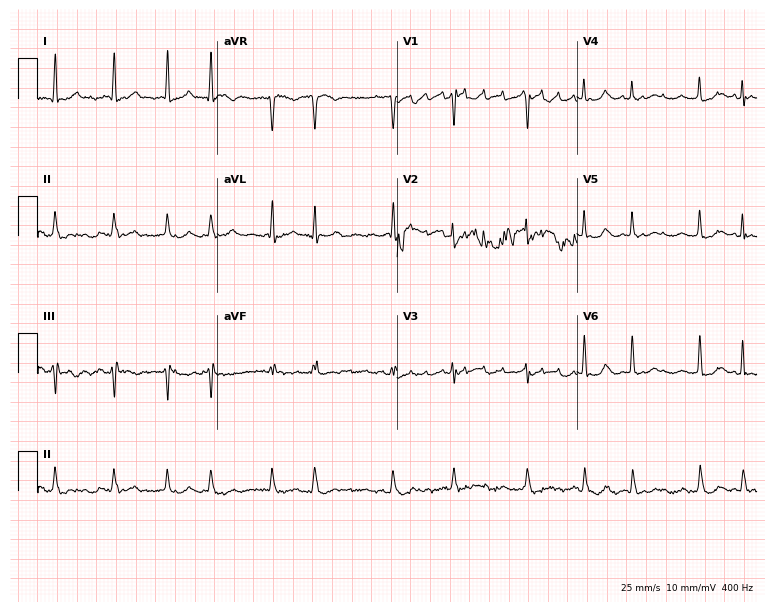
ECG (7.3-second recording at 400 Hz) — a female, 83 years old. Findings include atrial fibrillation.